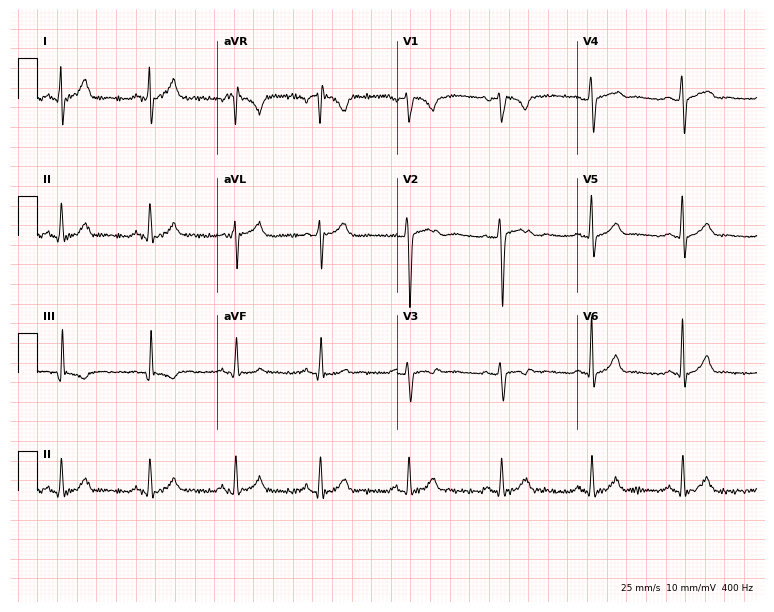
Electrocardiogram, a male patient, 33 years old. Of the six screened findings (first-degree AV block, right bundle branch block (RBBB), left bundle branch block (LBBB), sinus bradycardia, atrial fibrillation (AF), sinus tachycardia), none is recorded.